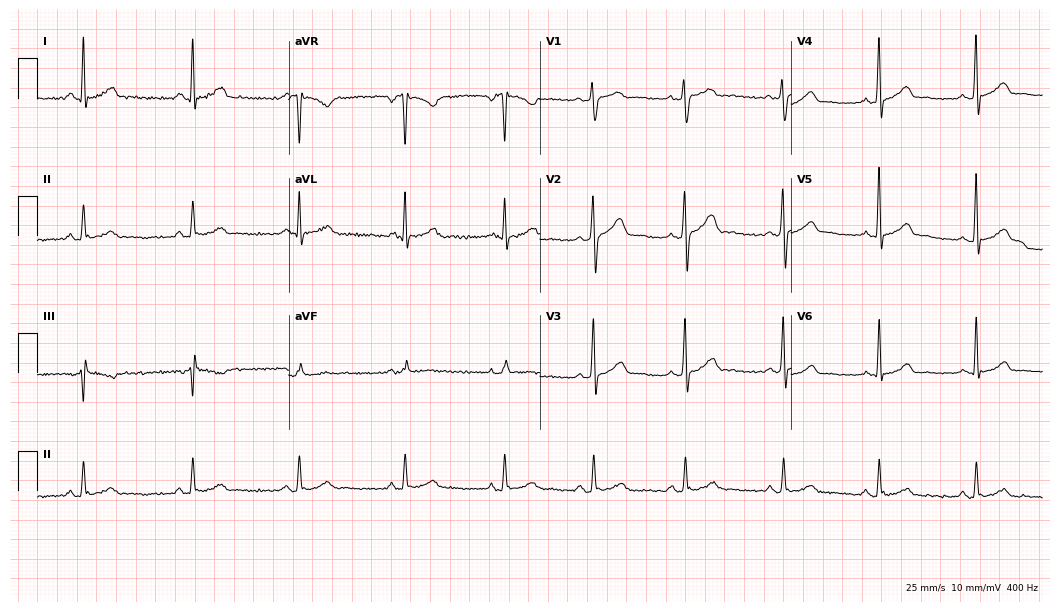
Resting 12-lead electrocardiogram (10.2-second recording at 400 Hz). Patient: a 41-year-old man. Read as a normal ECG.